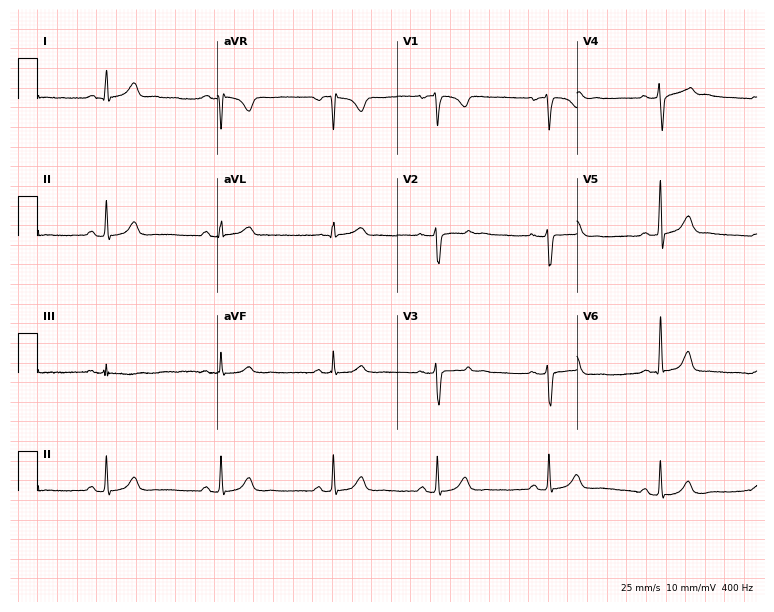
Resting 12-lead electrocardiogram (7.3-second recording at 400 Hz). Patient: a female, 23 years old. Read as a normal ECG.